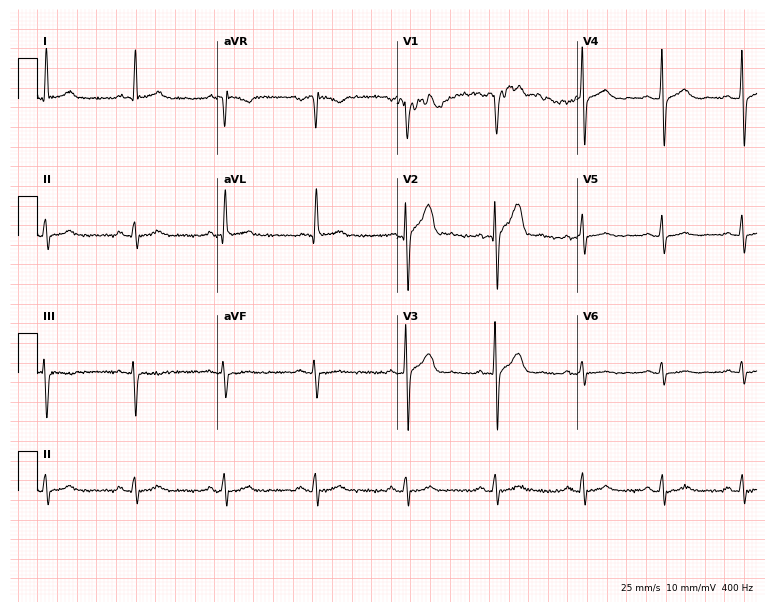
12-lead ECG (7.3-second recording at 400 Hz) from a man, 50 years old. Screened for six findings — first-degree AV block, right bundle branch block, left bundle branch block, sinus bradycardia, atrial fibrillation, sinus tachycardia — none is recorded.